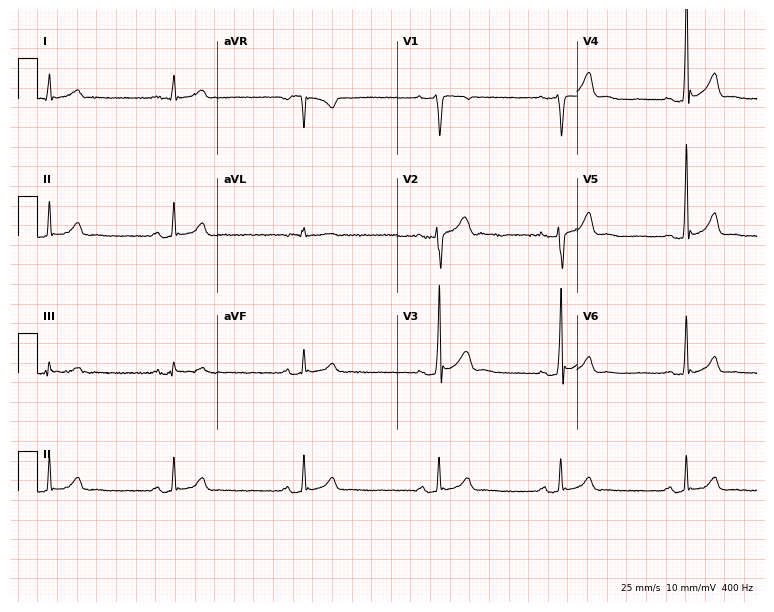
Standard 12-lead ECG recorded from a 33-year-old male patient. None of these six findings is recorded: first-degree AV block, right bundle branch block, left bundle branch block, sinus bradycardia, atrial fibrillation, sinus tachycardia. Other findings, if any, are not listed.